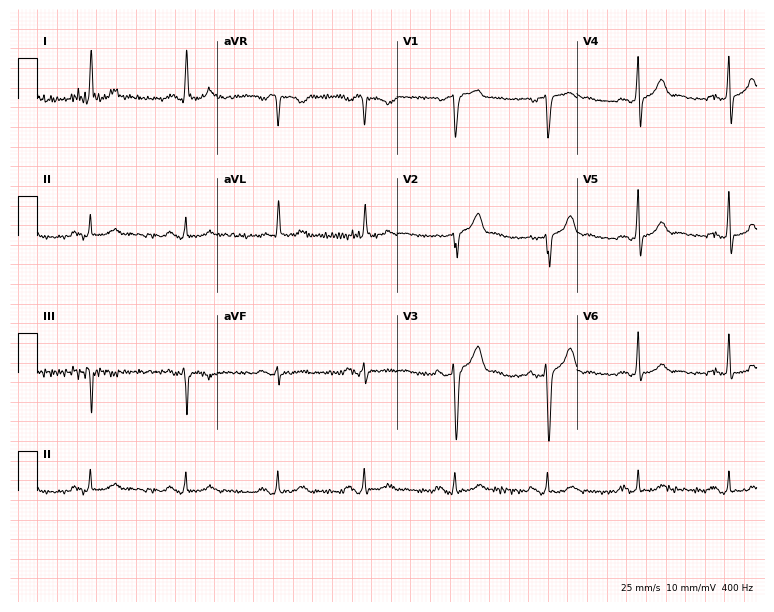
Standard 12-lead ECG recorded from a male, 39 years old. Read as a normal ECG.